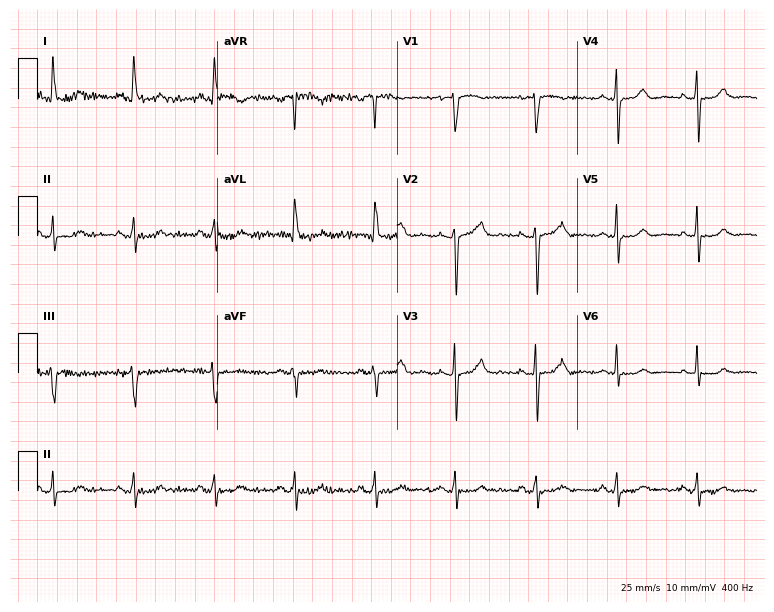
ECG (7.3-second recording at 400 Hz) — a 69-year-old woman. Screened for six findings — first-degree AV block, right bundle branch block, left bundle branch block, sinus bradycardia, atrial fibrillation, sinus tachycardia — none is recorded. Other findings, if any, are not listed.